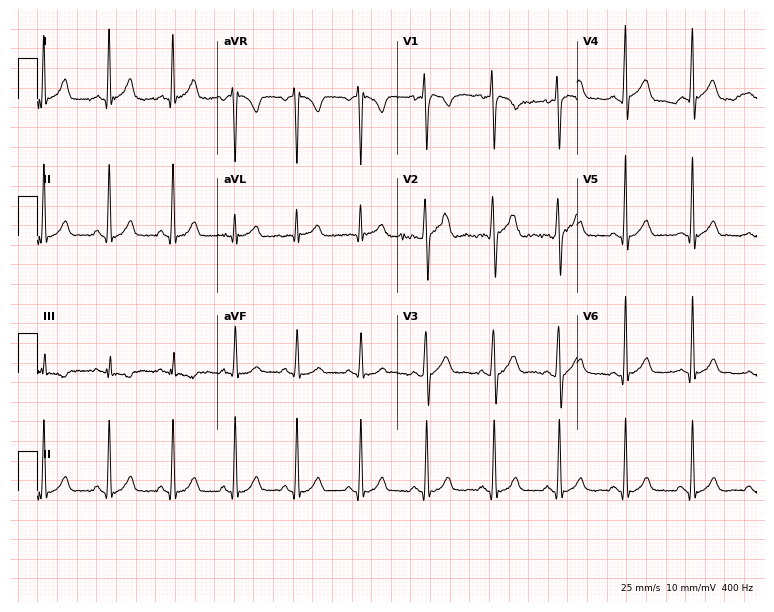
12-lead ECG from a male, 20 years old. Labelled as a normal ECG.